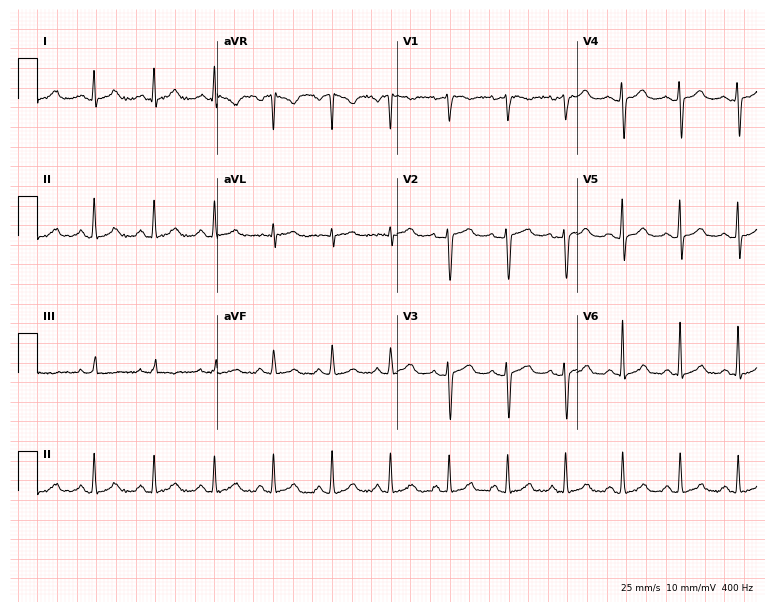
Resting 12-lead electrocardiogram. Patient: a female, 31 years old. Read as a normal ECG.